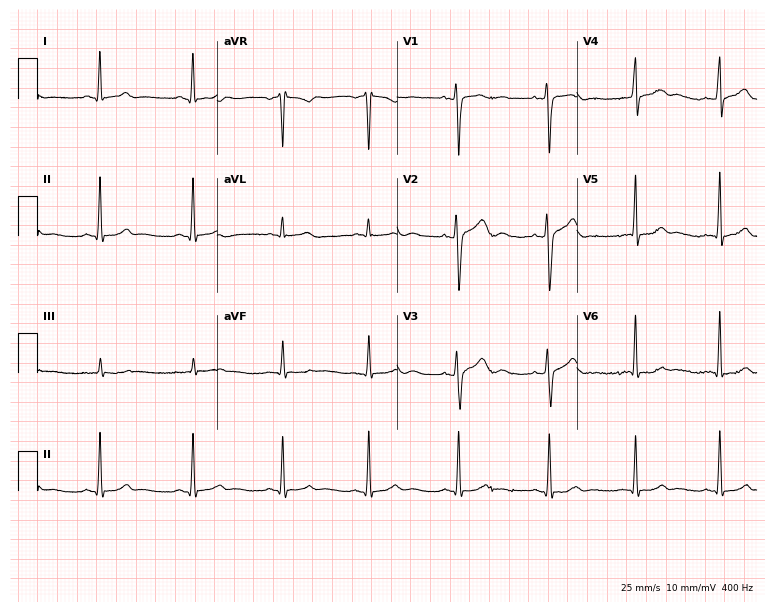
12-lead ECG (7.3-second recording at 400 Hz) from a 23-year-old female. Screened for six findings — first-degree AV block, right bundle branch block (RBBB), left bundle branch block (LBBB), sinus bradycardia, atrial fibrillation (AF), sinus tachycardia — none is recorded. Other findings, if any, are not listed.